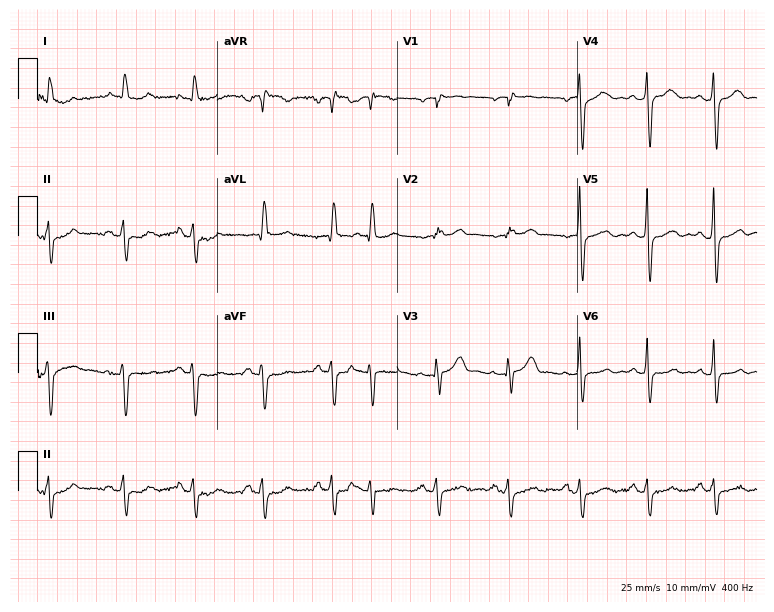
Standard 12-lead ECG recorded from a 77-year-old man (7.3-second recording at 400 Hz). None of these six findings is recorded: first-degree AV block, right bundle branch block (RBBB), left bundle branch block (LBBB), sinus bradycardia, atrial fibrillation (AF), sinus tachycardia.